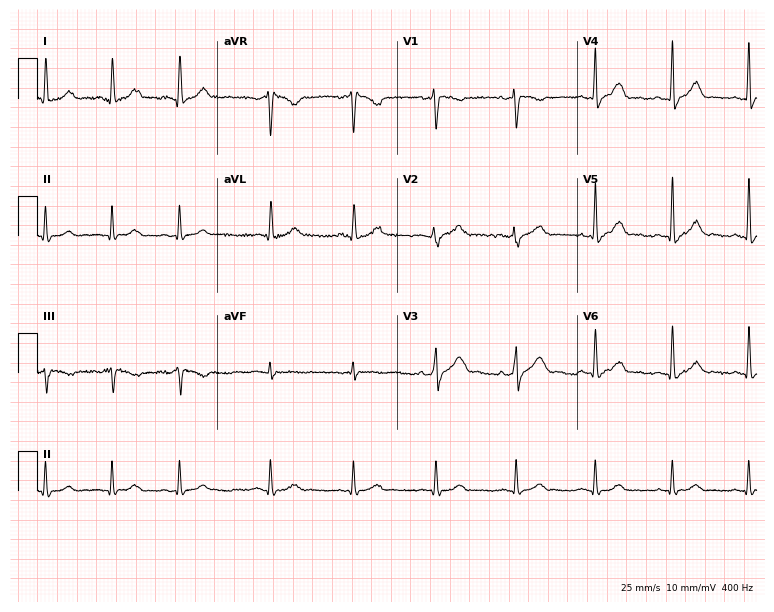
12-lead ECG (7.3-second recording at 400 Hz) from a woman, 38 years old. Labelled as a normal ECG.